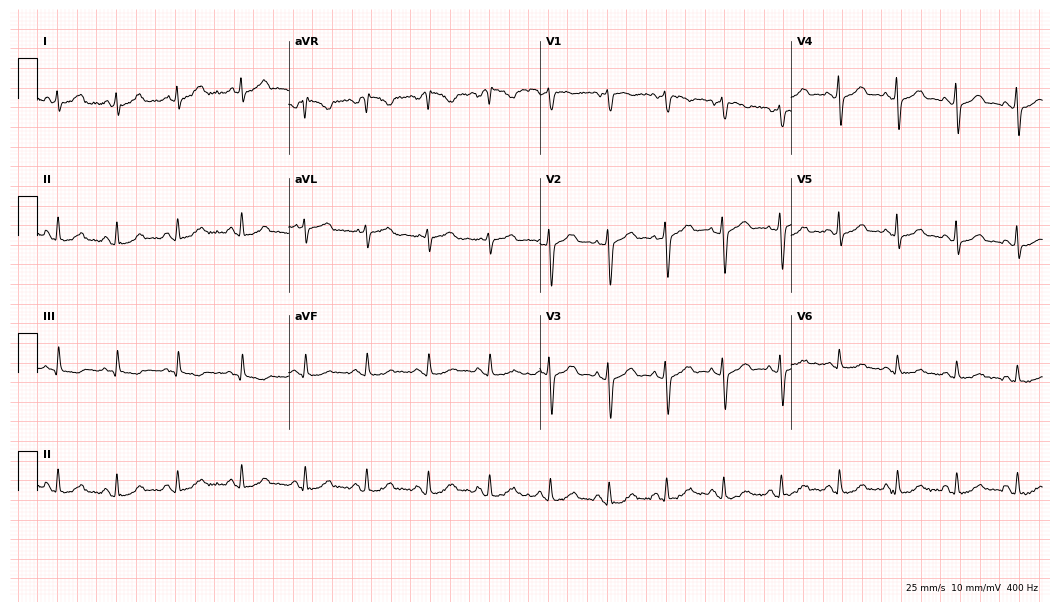
12-lead ECG from a 53-year-old female patient. No first-degree AV block, right bundle branch block, left bundle branch block, sinus bradycardia, atrial fibrillation or sinus tachycardia recorded for this tracing. Only these six findings were labelled.